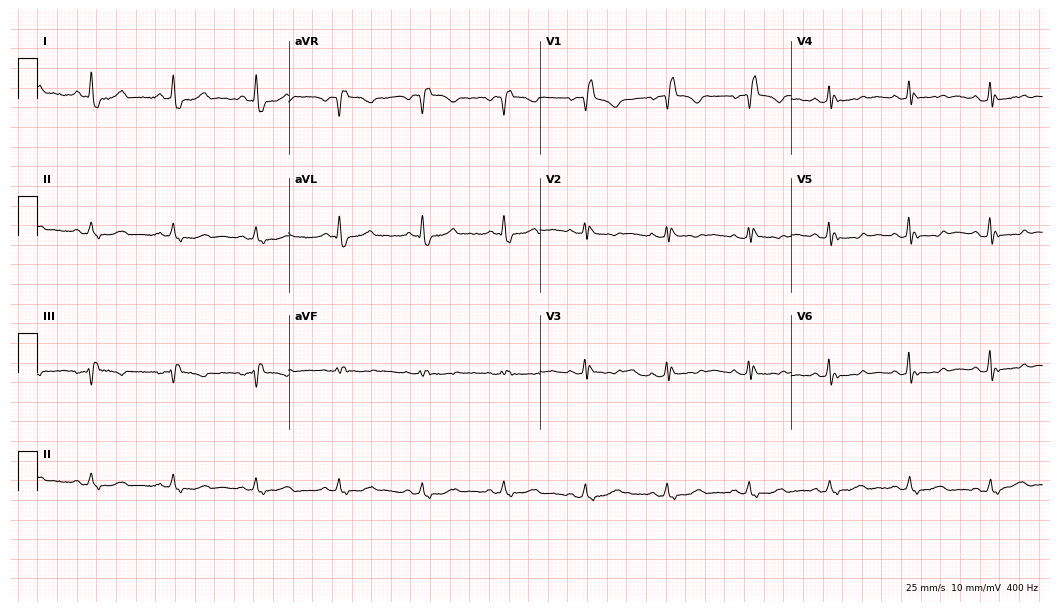
Standard 12-lead ECG recorded from a female, 80 years old (10.2-second recording at 400 Hz). The tracing shows right bundle branch block.